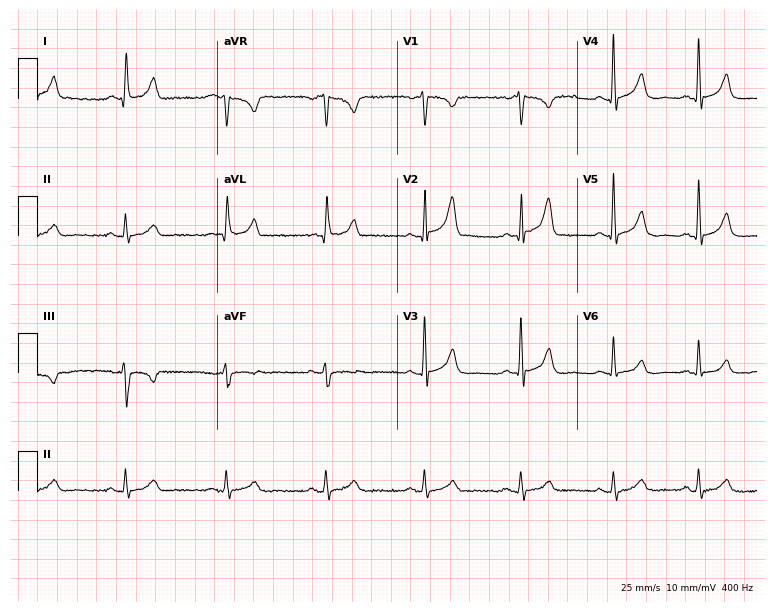
12-lead ECG (7.3-second recording at 400 Hz) from a male, 66 years old. Labelled as a normal ECG.